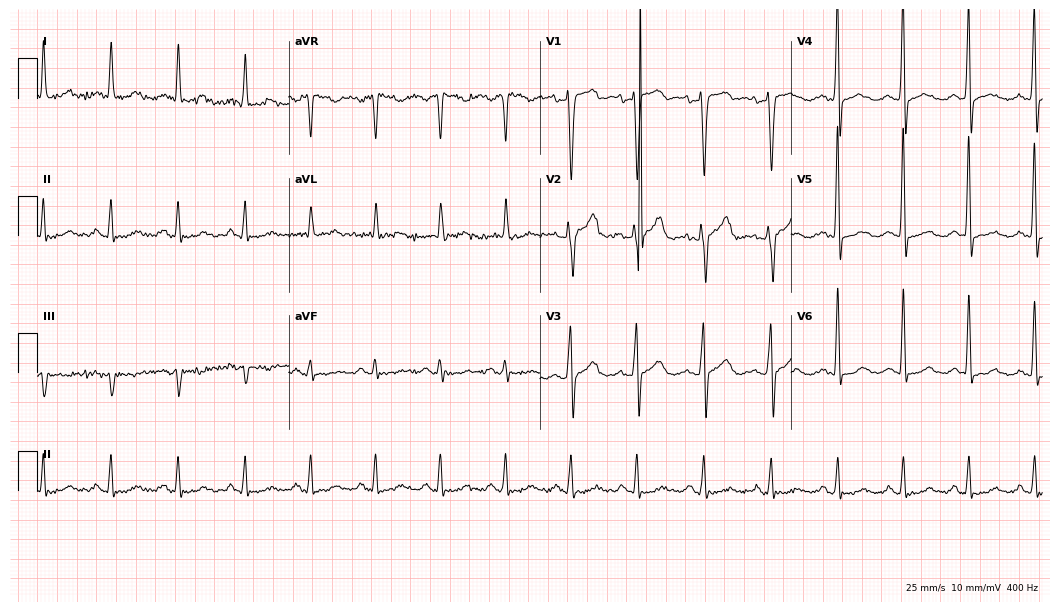
Resting 12-lead electrocardiogram (10.2-second recording at 400 Hz). Patient: a 70-year-old male. None of these six findings is recorded: first-degree AV block, right bundle branch block, left bundle branch block, sinus bradycardia, atrial fibrillation, sinus tachycardia. Only these six findings were labelled.